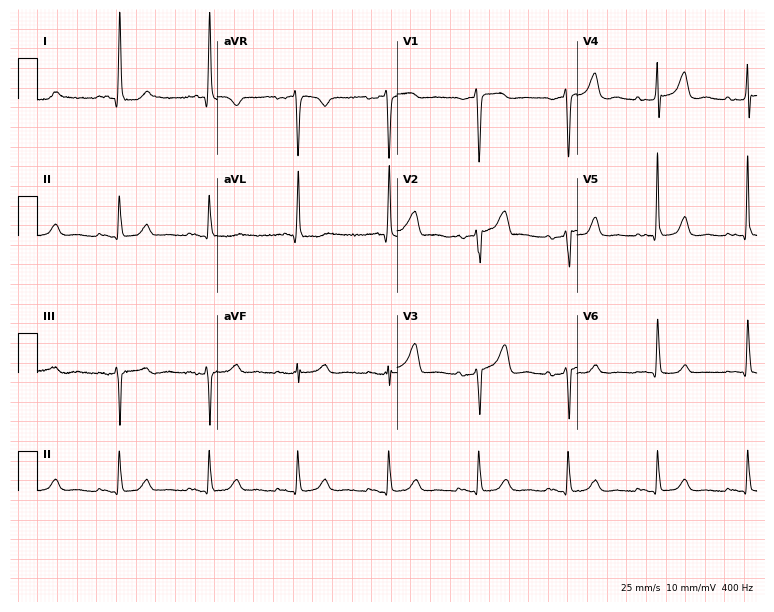
Resting 12-lead electrocardiogram. Patient: a 79-year-old female. None of these six findings is recorded: first-degree AV block, right bundle branch block (RBBB), left bundle branch block (LBBB), sinus bradycardia, atrial fibrillation (AF), sinus tachycardia.